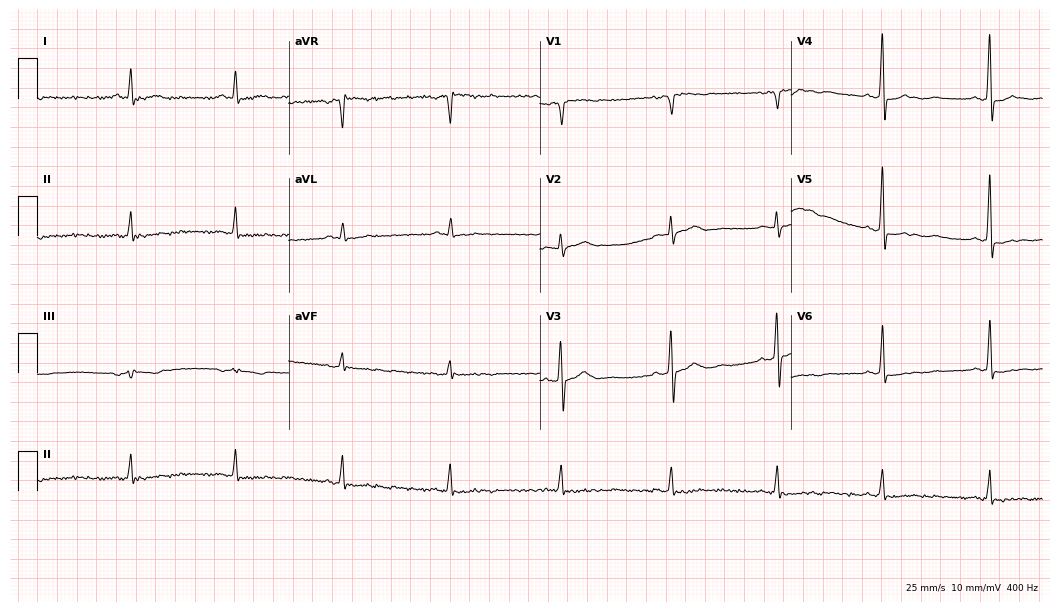
Resting 12-lead electrocardiogram (10.2-second recording at 400 Hz). Patient: a man, 59 years old. None of these six findings is recorded: first-degree AV block, right bundle branch block, left bundle branch block, sinus bradycardia, atrial fibrillation, sinus tachycardia.